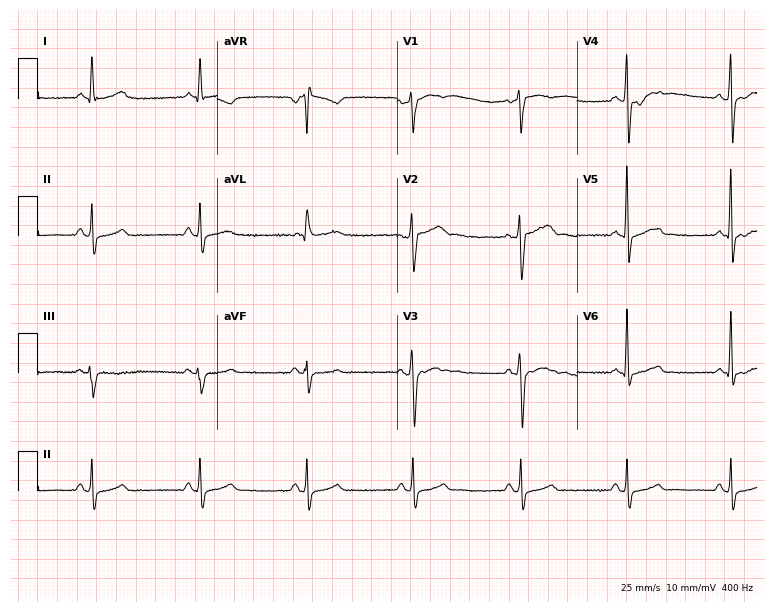
Electrocardiogram, a 50-year-old man. Overall reading on record: normal ECG.